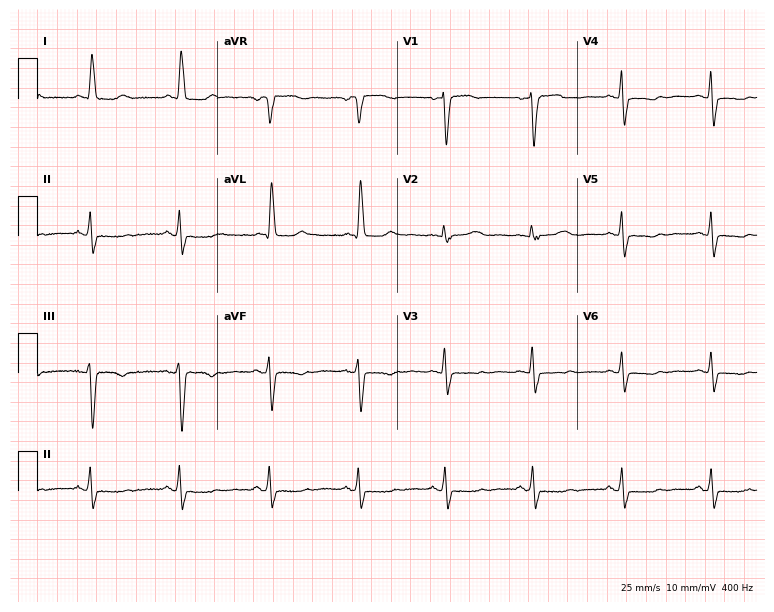
12-lead ECG from a female, 71 years old (7.3-second recording at 400 Hz). No first-degree AV block, right bundle branch block, left bundle branch block, sinus bradycardia, atrial fibrillation or sinus tachycardia recorded for this tracing. Only these six findings were labelled.